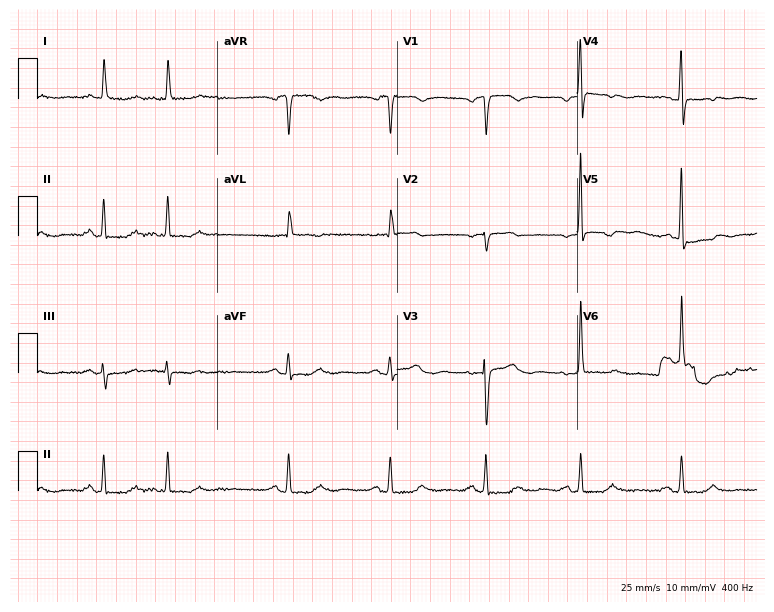
Standard 12-lead ECG recorded from a female patient, 79 years old (7.3-second recording at 400 Hz). None of these six findings is recorded: first-degree AV block, right bundle branch block (RBBB), left bundle branch block (LBBB), sinus bradycardia, atrial fibrillation (AF), sinus tachycardia. Only these six findings were labelled.